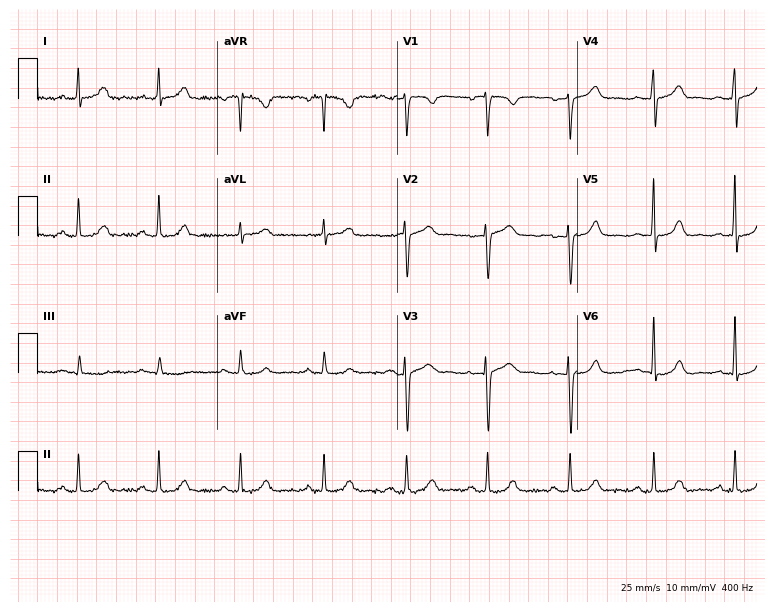
12-lead ECG from a 36-year-old female patient. Screened for six findings — first-degree AV block, right bundle branch block, left bundle branch block, sinus bradycardia, atrial fibrillation, sinus tachycardia — none is recorded.